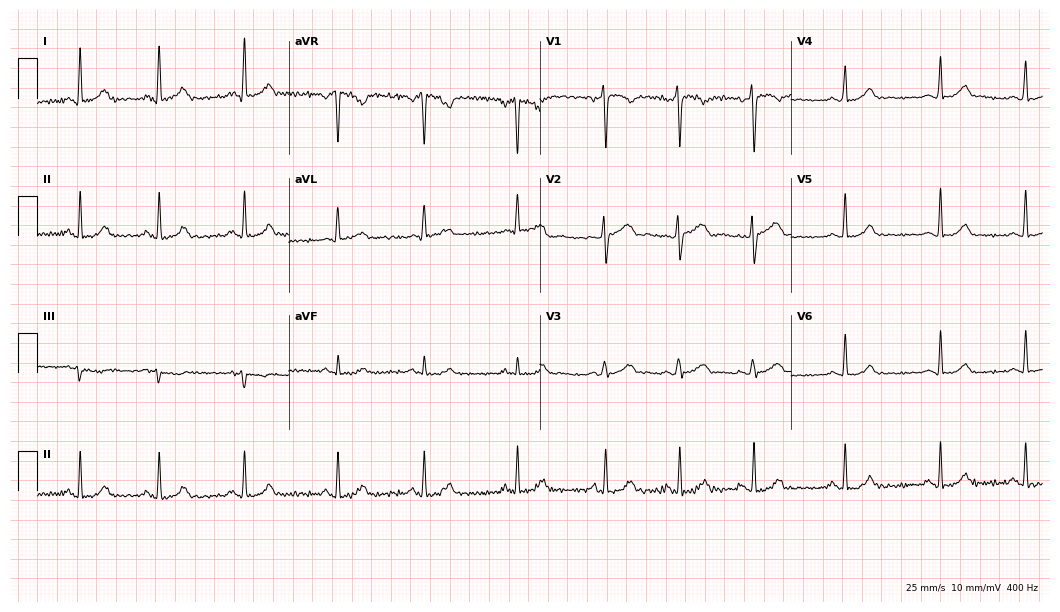
Resting 12-lead electrocardiogram (10.2-second recording at 400 Hz). Patient: a woman, 19 years old. Read as a normal ECG.